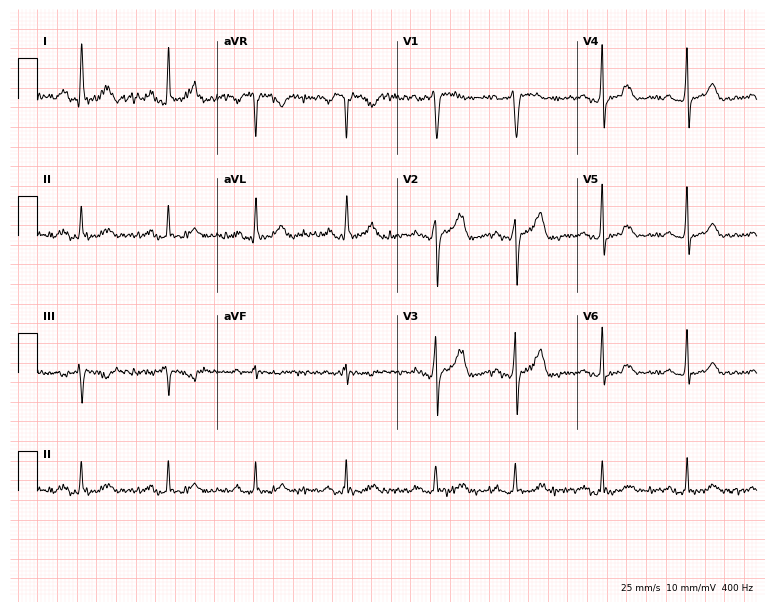
12-lead ECG (7.3-second recording at 400 Hz) from a female patient, 62 years old. Labelled as a normal ECG.